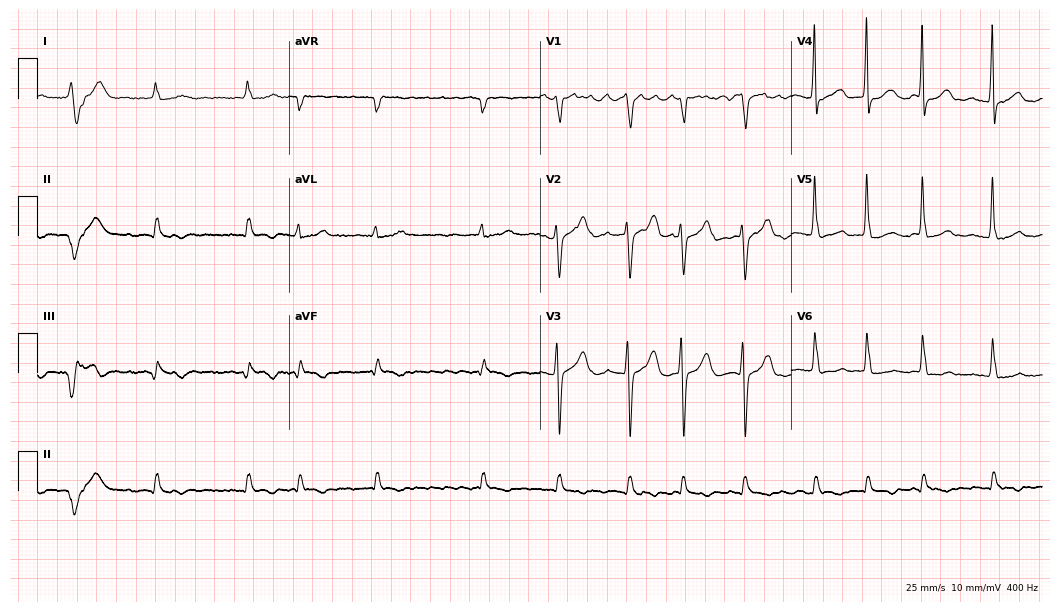
Resting 12-lead electrocardiogram (10.2-second recording at 400 Hz). Patient: a male, 63 years old. The tracing shows atrial fibrillation (AF).